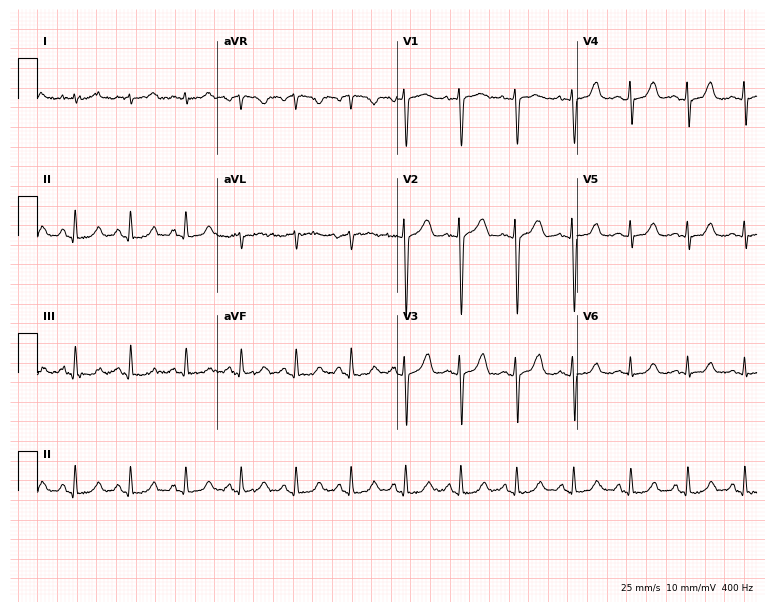
12-lead ECG (7.3-second recording at 400 Hz) from a 42-year-old woman. Labelled as a normal ECG.